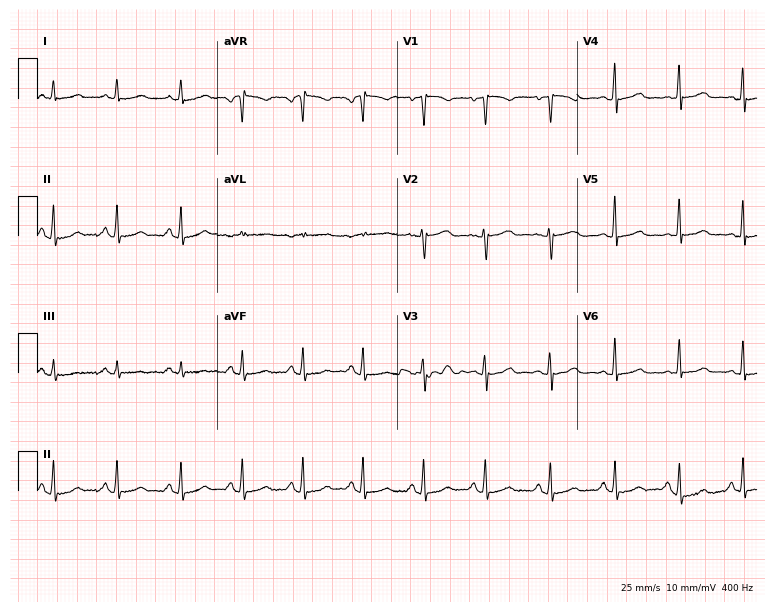
12-lead ECG from a 30-year-old woman. Screened for six findings — first-degree AV block, right bundle branch block, left bundle branch block, sinus bradycardia, atrial fibrillation, sinus tachycardia — none is recorded.